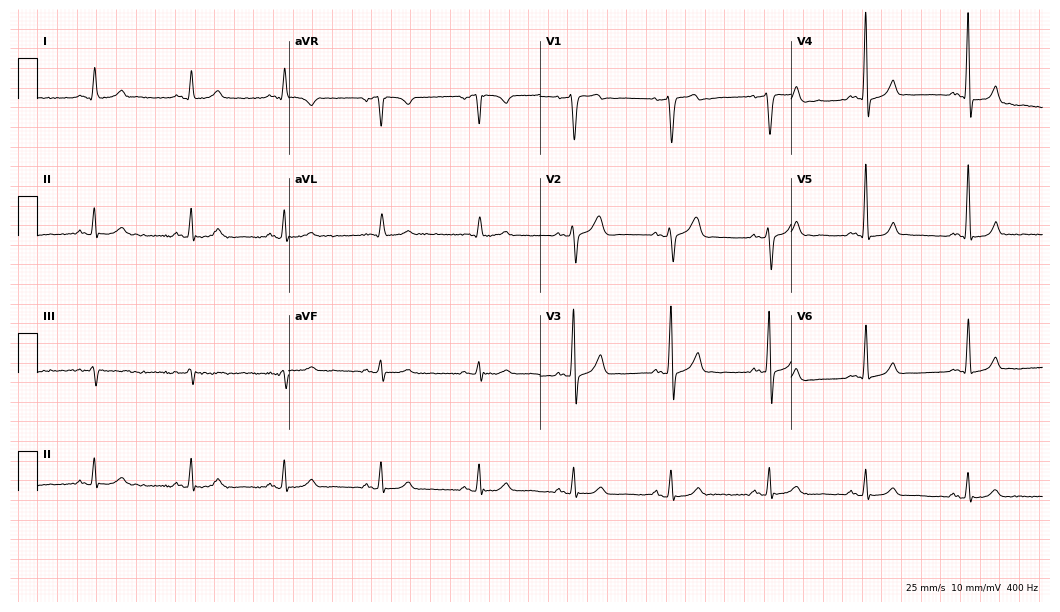
Electrocardiogram (10.2-second recording at 400 Hz), a 52-year-old male patient. Overall reading on record: normal ECG.